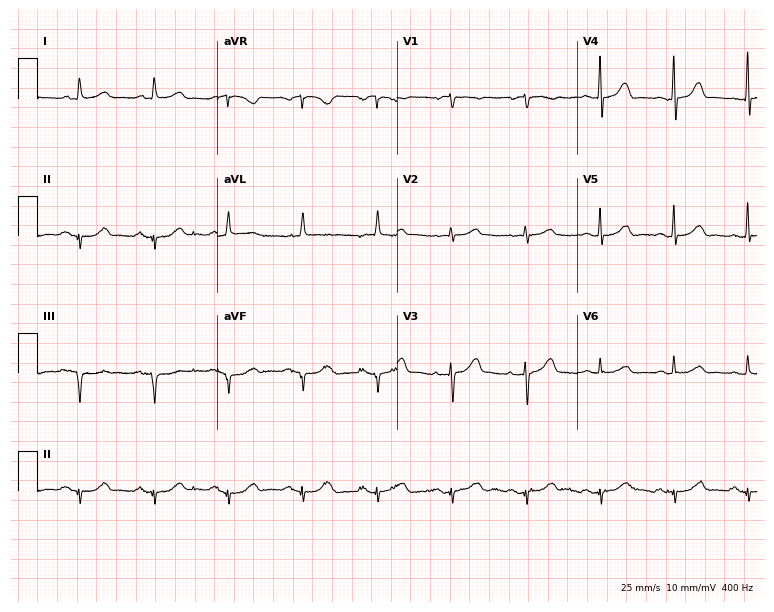
12-lead ECG from an 82-year-old female patient. Screened for six findings — first-degree AV block, right bundle branch block, left bundle branch block, sinus bradycardia, atrial fibrillation, sinus tachycardia — none is recorded.